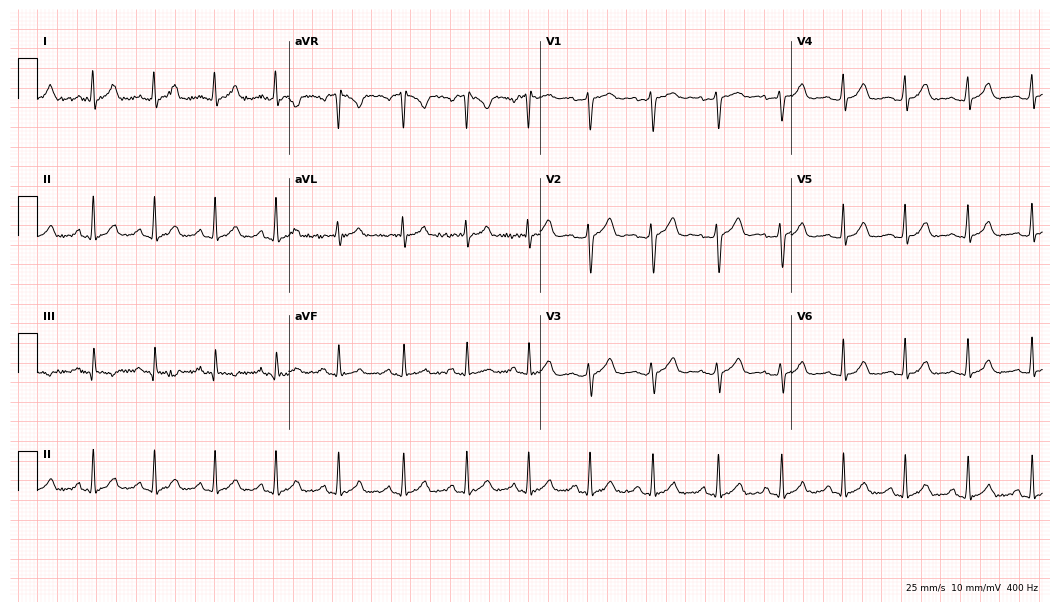
12-lead ECG from a 20-year-old female. Labelled as a normal ECG.